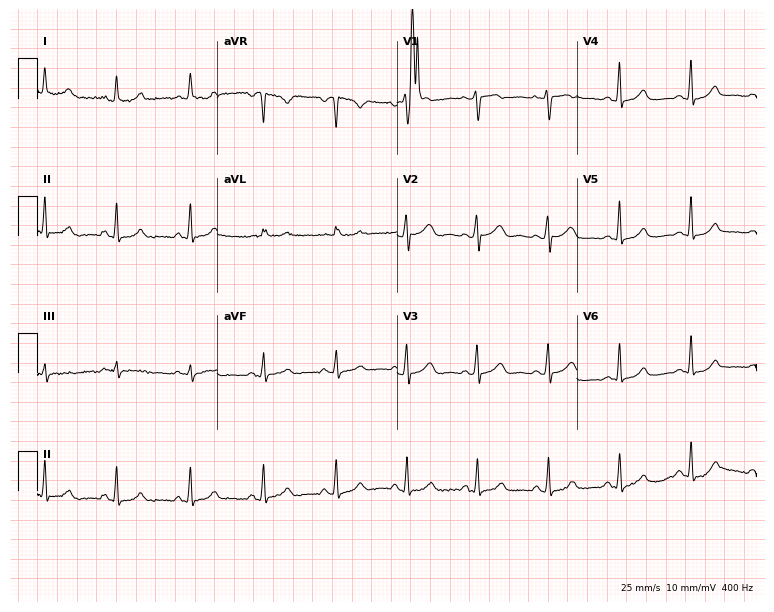
Electrocardiogram, a female patient, 30 years old. Of the six screened findings (first-degree AV block, right bundle branch block, left bundle branch block, sinus bradycardia, atrial fibrillation, sinus tachycardia), none is recorded. Other findings, if any, are not listed.